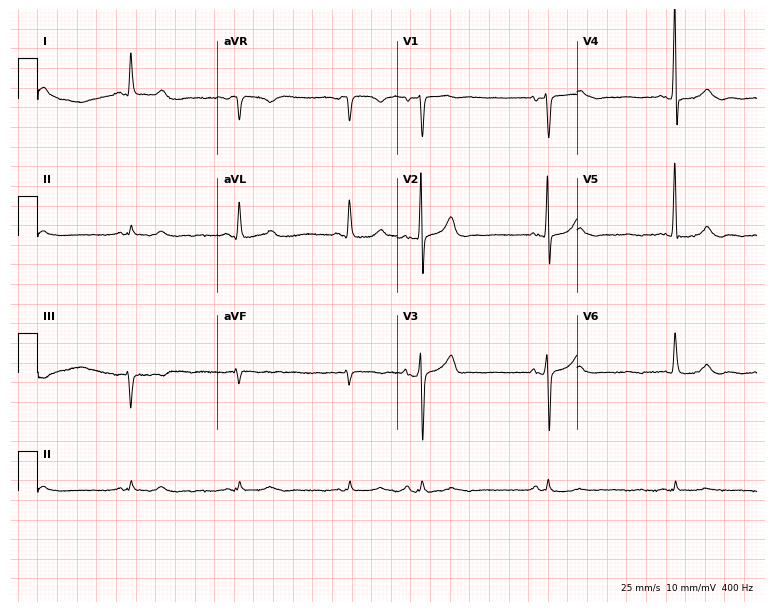
12-lead ECG (7.3-second recording at 400 Hz) from a 70-year-old male patient. Screened for six findings — first-degree AV block, right bundle branch block, left bundle branch block, sinus bradycardia, atrial fibrillation, sinus tachycardia — none is recorded.